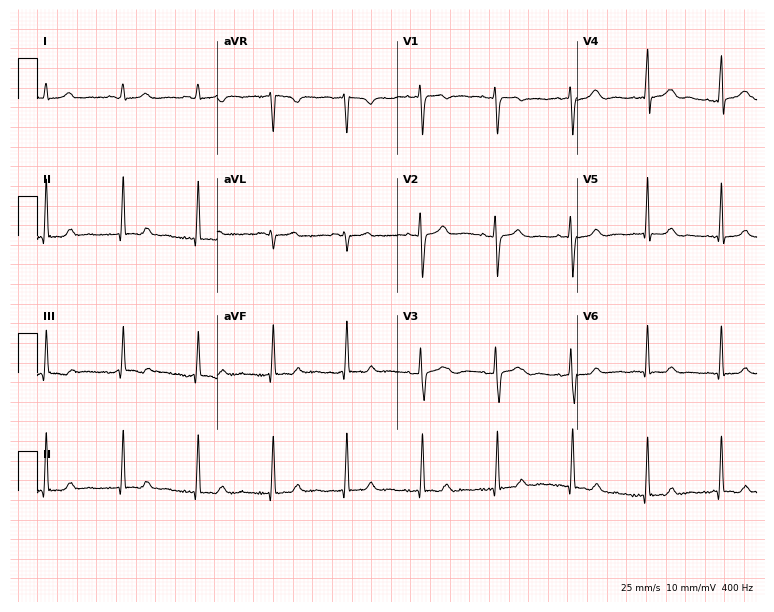
Standard 12-lead ECG recorded from a 31-year-old female patient (7.3-second recording at 400 Hz). Read as a normal ECG.